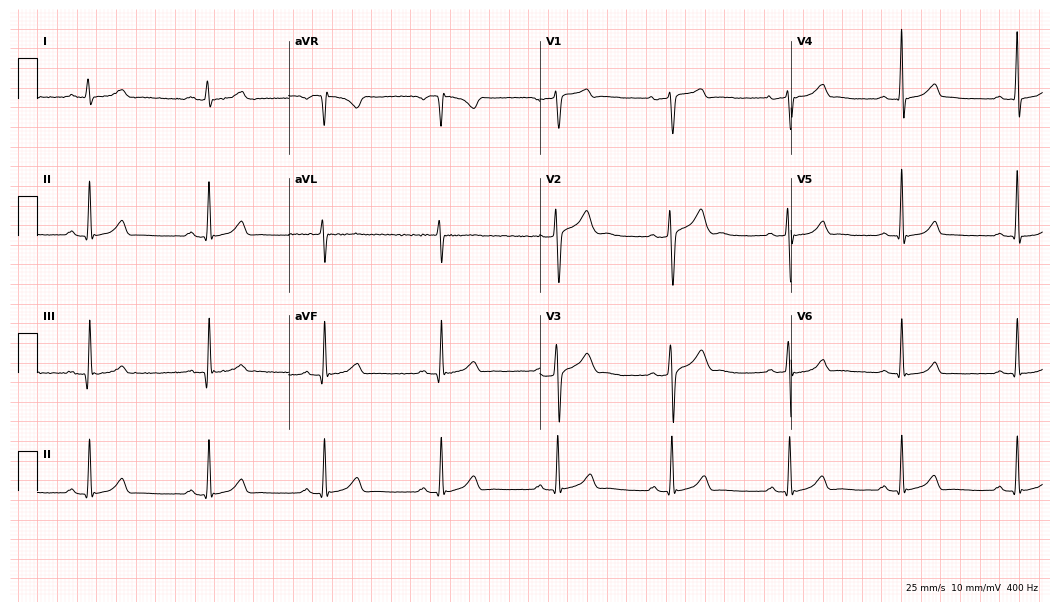
ECG — a male, 25 years old. Labelled as a normal ECG.